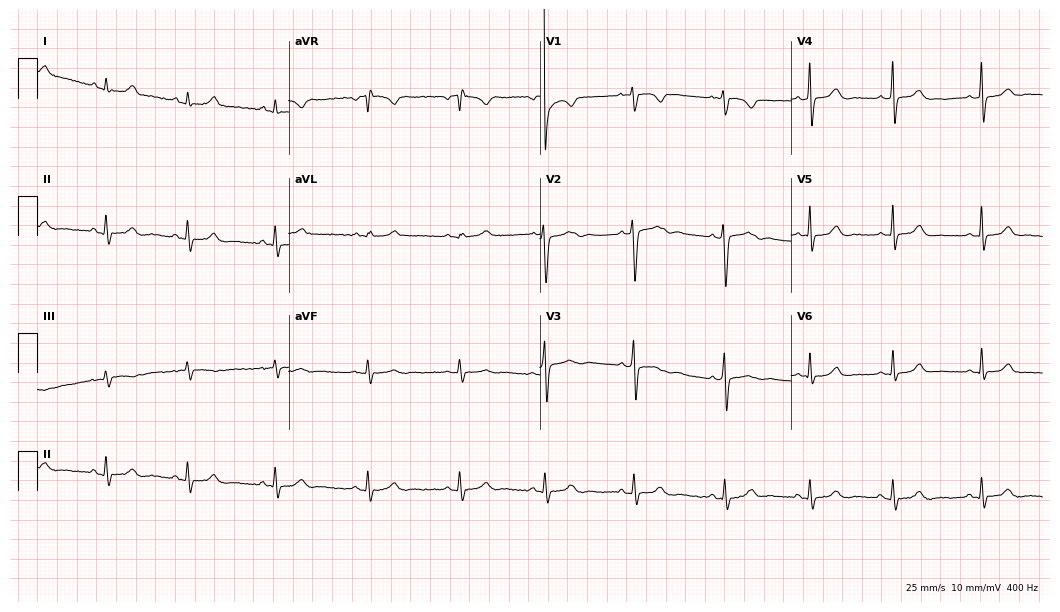
Resting 12-lead electrocardiogram. Patient: a 25-year-old woman. None of these six findings is recorded: first-degree AV block, right bundle branch block, left bundle branch block, sinus bradycardia, atrial fibrillation, sinus tachycardia.